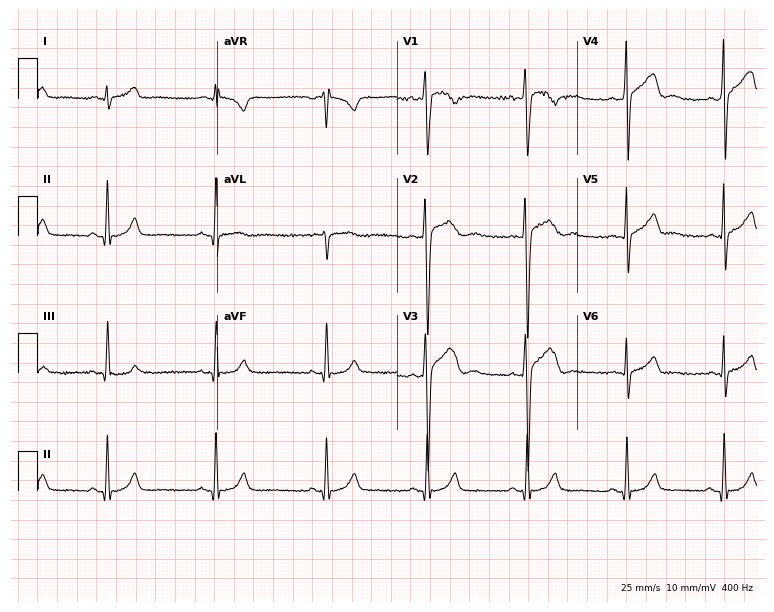
12-lead ECG (7.3-second recording at 400 Hz) from a male, 19 years old. Labelled as a normal ECG.